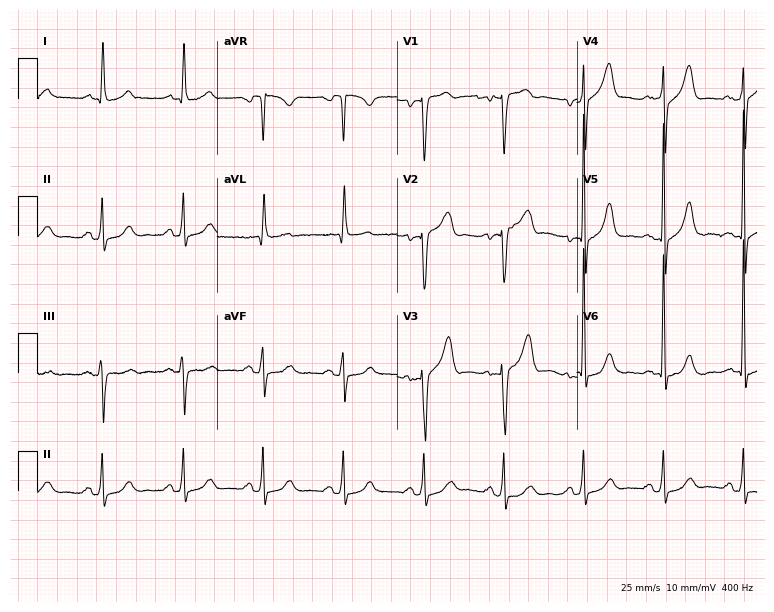
Resting 12-lead electrocardiogram. Patient: a 79-year-old man. None of these six findings is recorded: first-degree AV block, right bundle branch block (RBBB), left bundle branch block (LBBB), sinus bradycardia, atrial fibrillation (AF), sinus tachycardia.